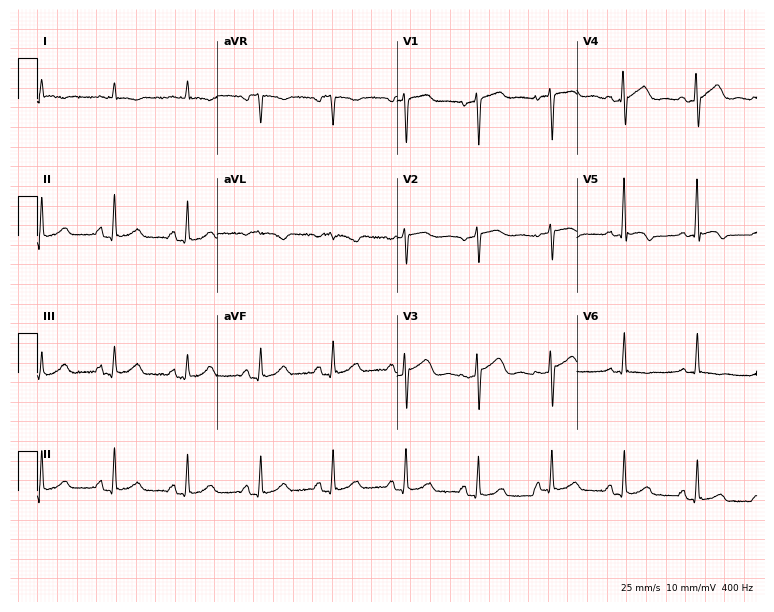
12-lead ECG from a 79-year-old male patient. No first-degree AV block, right bundle branch block, left bundle branch block, sinus bradycardia, atrial fibrillation or sinus tachycardia recorded for this tracing. Findings outside these six are not listed.